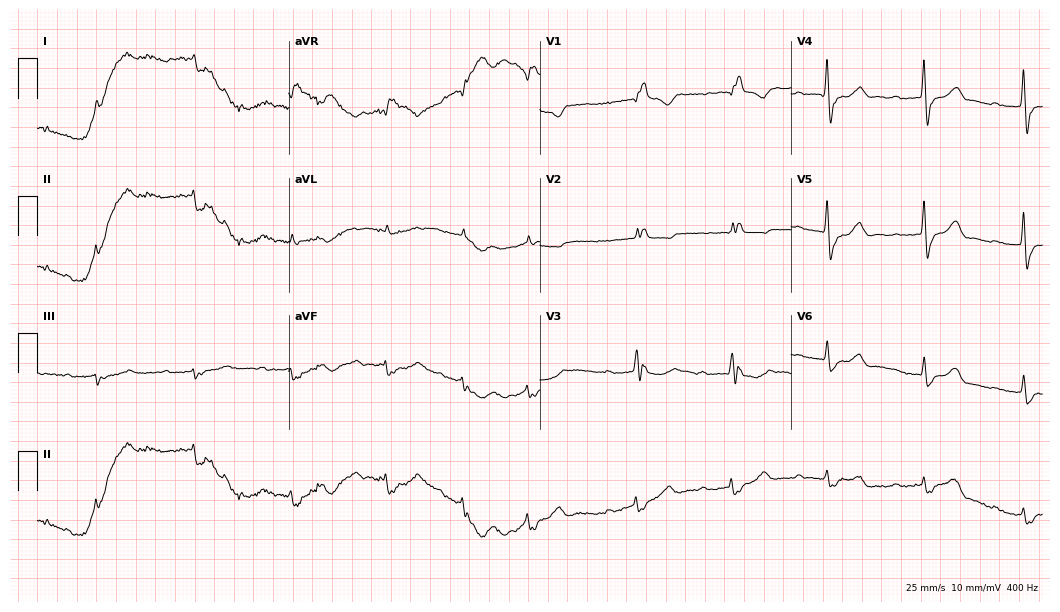
Electrocardiogram (10.2-second recording at 400 Hz), an 86-year-old male patient. Of the six screened findings (first-degree AV block, right bundle branch block, left bundle branch block, sinus bradycardia, atrial fibrillation, sinus tachycardia), none is recorded.